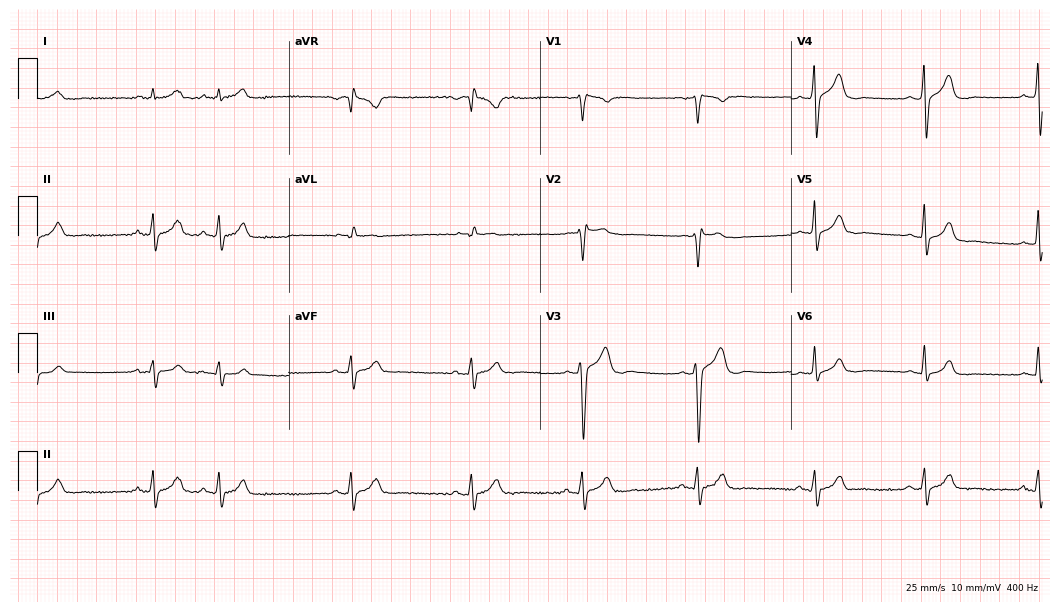
Standard 12-lead ECG recorded from a 47-year-old male patient (10.2-second recording at 400 Hz). None of these six findings is recorded: first-degree AV block, right bundle branch block, left bundle branch block, sinus bradycardia, atrial fibrillation, sinus tachycardia.